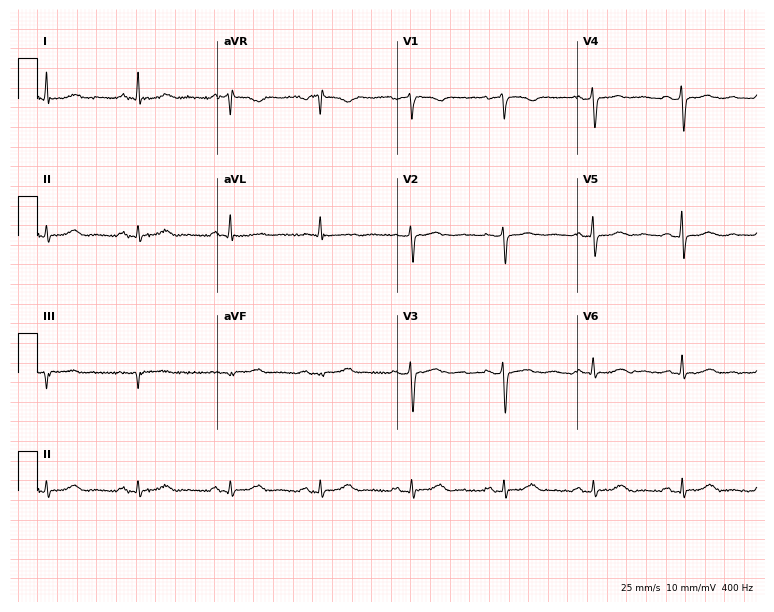
12-lead ECG from a woman, 60 years old. Recorded interpretation: within normal limits.